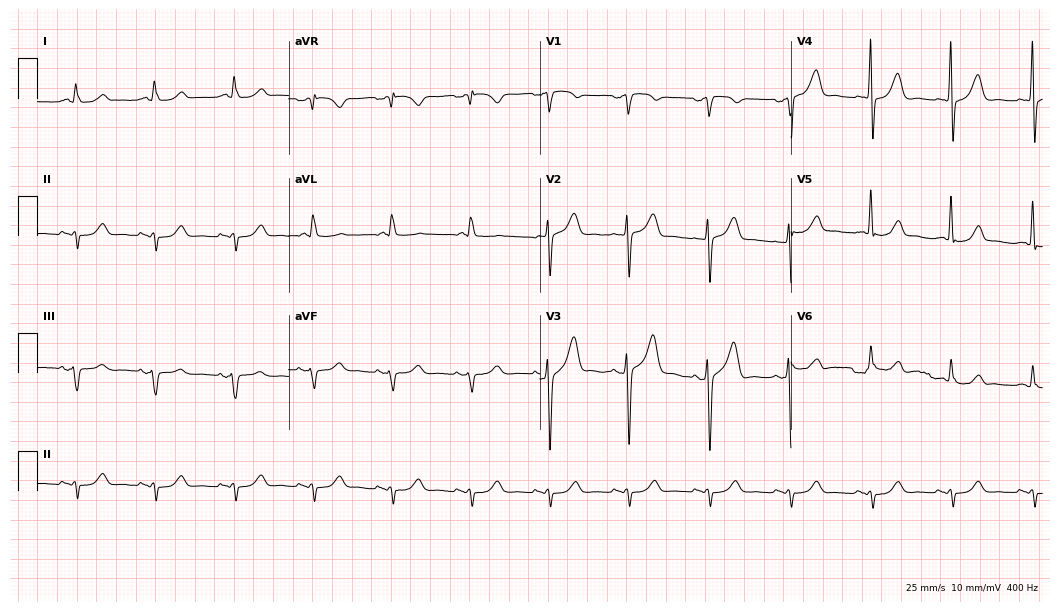
ECG (10.2-second recording at 400 Hz) — a male, 64 years old. Screened for six findings — first-degree AV block, right bundle branch block, left bundle branch block, sinus bradycardia, atrial fibrillation, sinus tachycardia — none is recorded. Other findings, if any, are not listed.